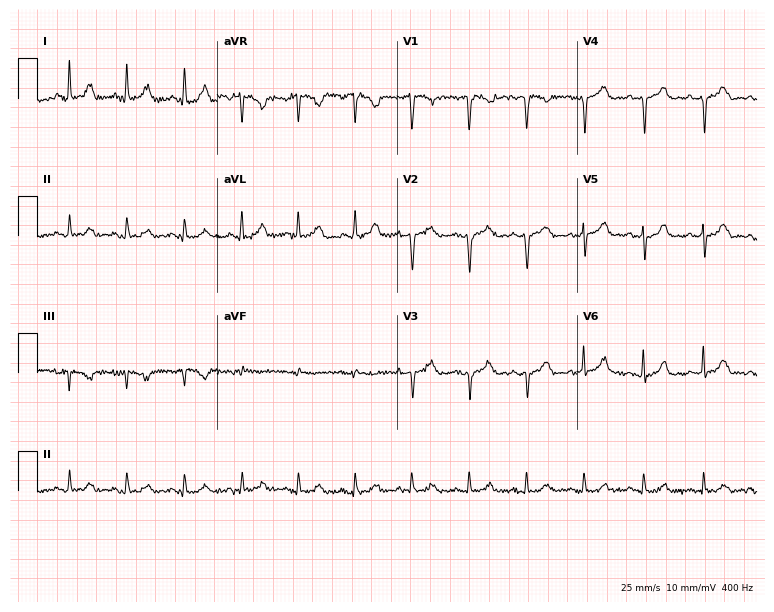
Standard 12-lead ECG recorded from a 28-year-old female patient (7.3-second recording at 400 Hz). None of these six findings is recorded: first-degree AV block, right bundle branch block (RBBB), left bundle branch block (LBBB), sinus bradycardia, atrial fibrillation (AF), sinus tachycardia. Findings outside these six are not listed.